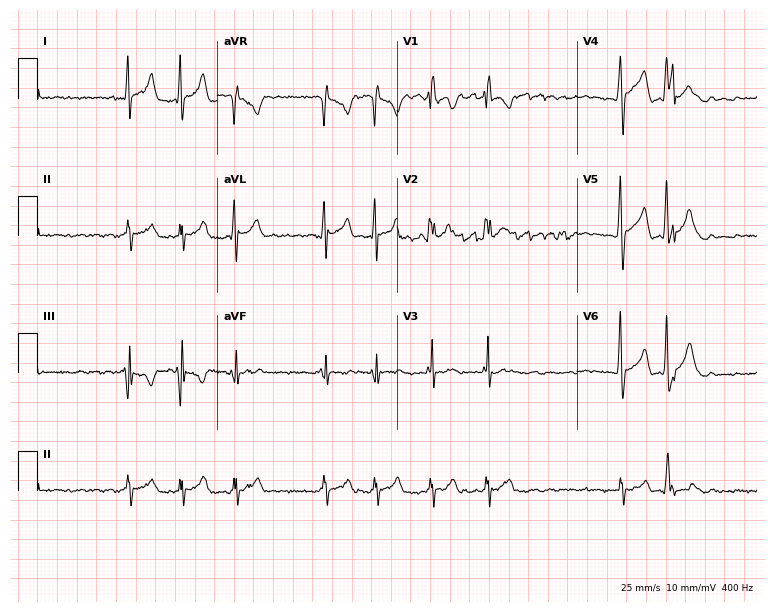
ECG — a male patient, 31 years old. Findings include atrial fibrillation (AF).